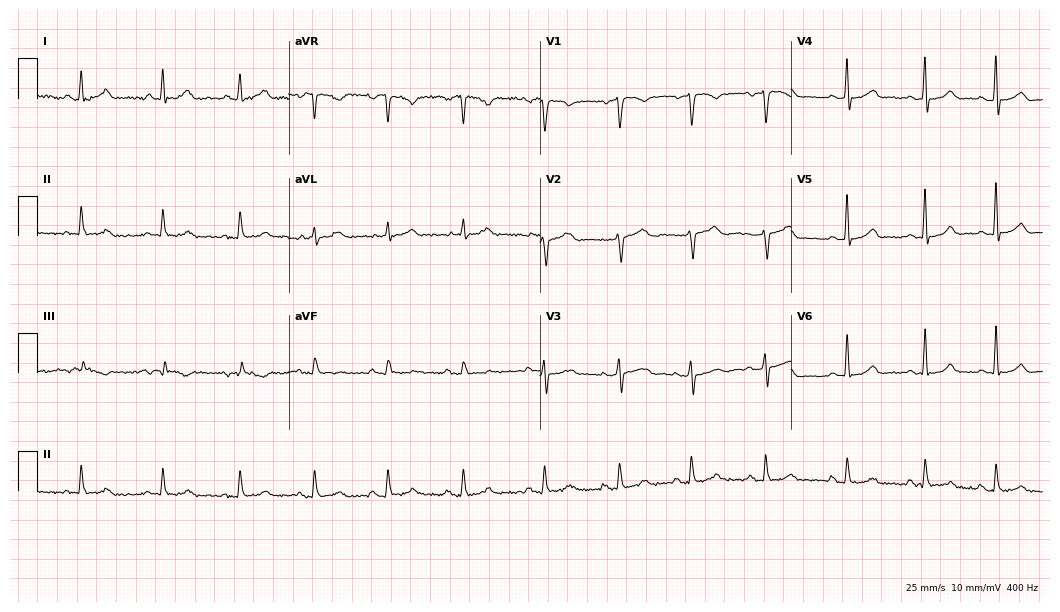
Resting 12-lead electrocardiogram. Patient: a 47-year-old female. Read as a normal ECG.